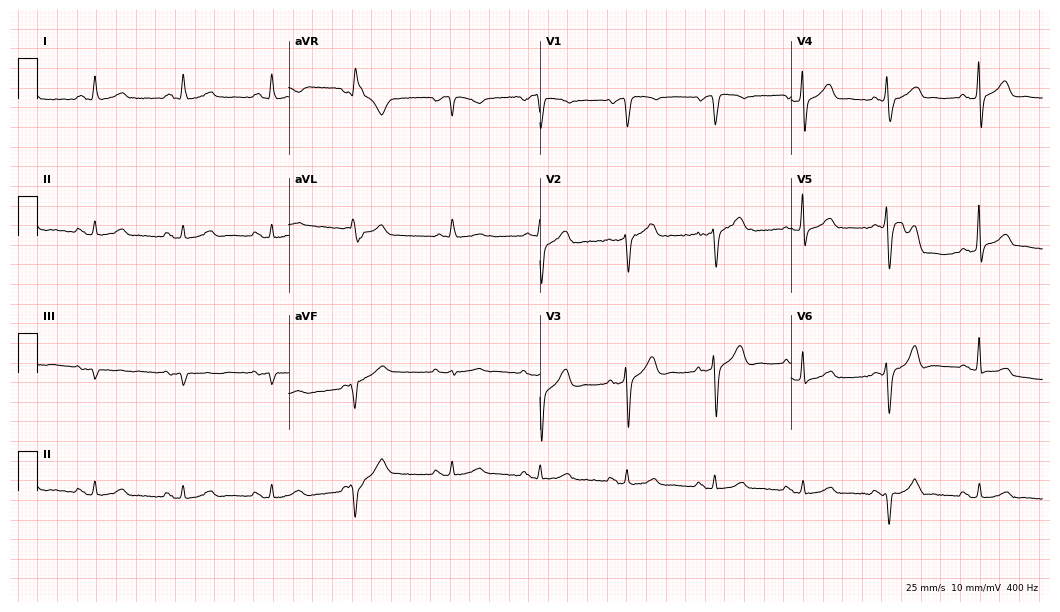
ECG (10.2-second recording at 400 Hz) — a 63-year-old male. Screened for six findings — first-degree AV block, right bundle branch block (RBBB), left bundle branch block (LBBB), sinus bradycardia, atrial fibrillation (AF), sinus tachycardia — none is recorded. Findings outside these six are not listed.